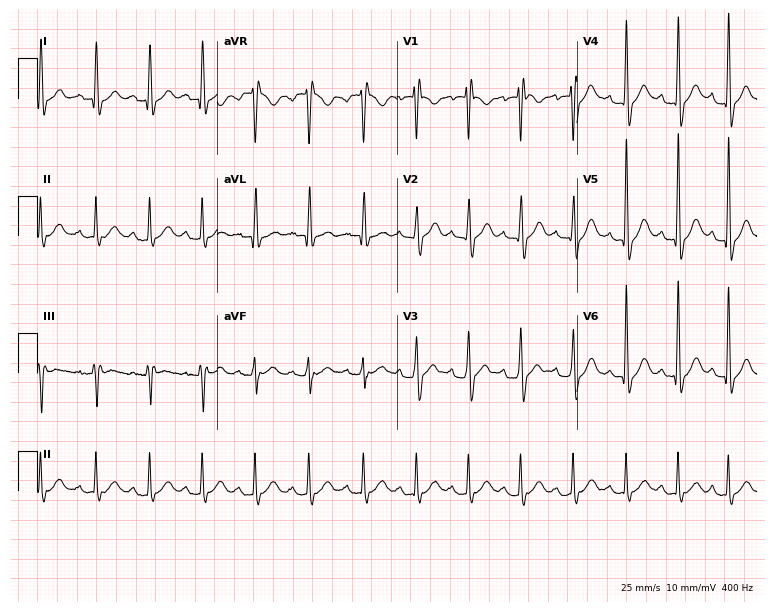
ECG — a 30-year-old female patient. Findings include sinus tachycardia (a sinus rate of 100 beats per minute or more).